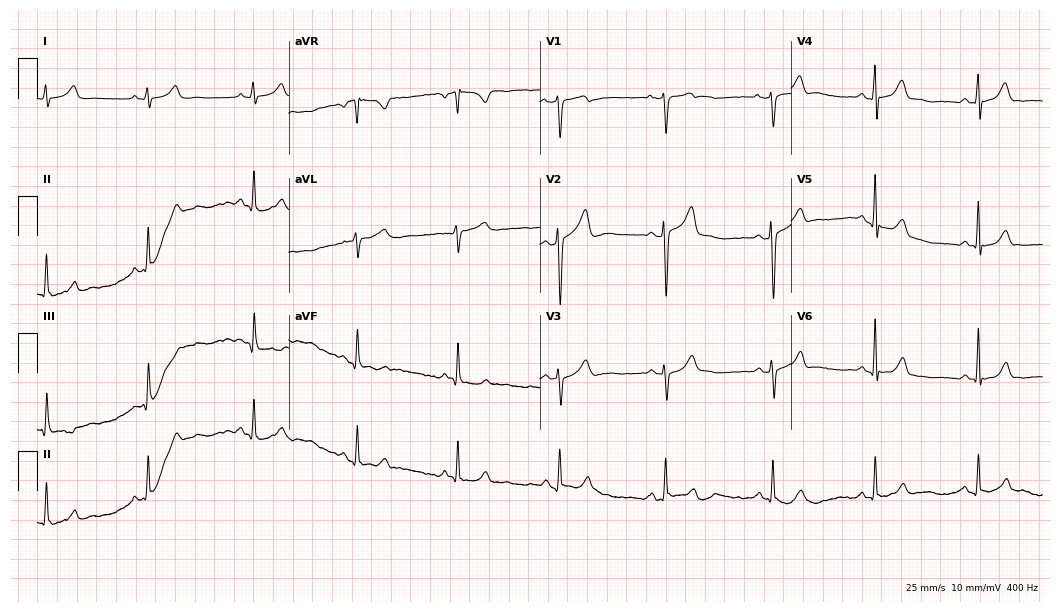
12-lead ECG from a woman, 51 years old. Labelled as a normal ECG.